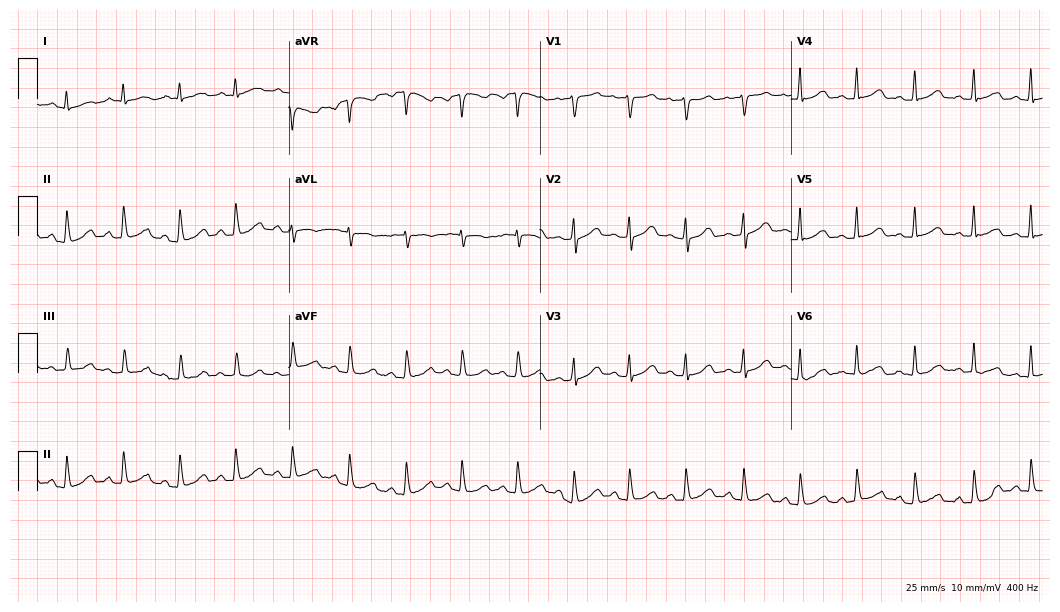
12-lead ECG from a woman, 42 years old (10.2-second recording at 400 Hz). Recorded interpretation: within normal limits.